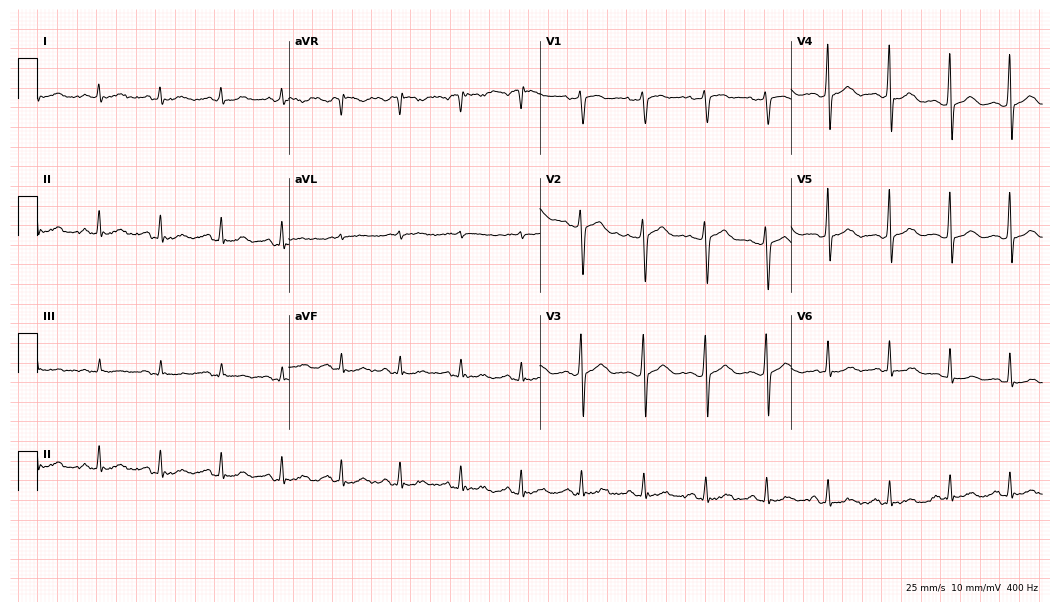
Electrocardiogram (10.2-second recording at 400 Hz), a male patient, 35 years old. Of the six screened findings (first-degree AV block, right bundle branch block (RBBB), left bundle branch block (LBBB), sinus bradycardia, atrial fibrillation (AF), sinus tachycardia), none is recorded.